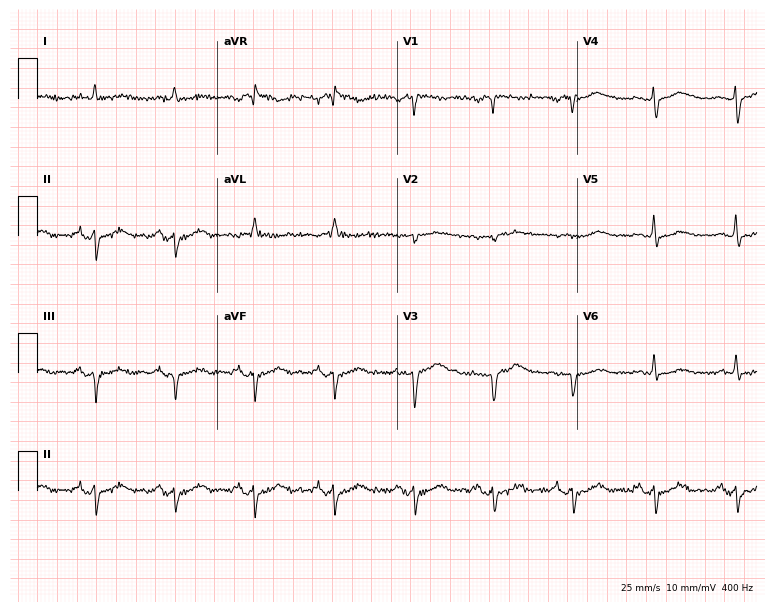
12-lead ECG from an 82-year-old man (7.3-second recording at 400 Hz). No first-degree AV block, right bundle branch block, left bundle branch block, sinus bradycardia, atrial fibrillation or sinus tachycardia recorded for this tracing. Other findings, if any, are not listed.